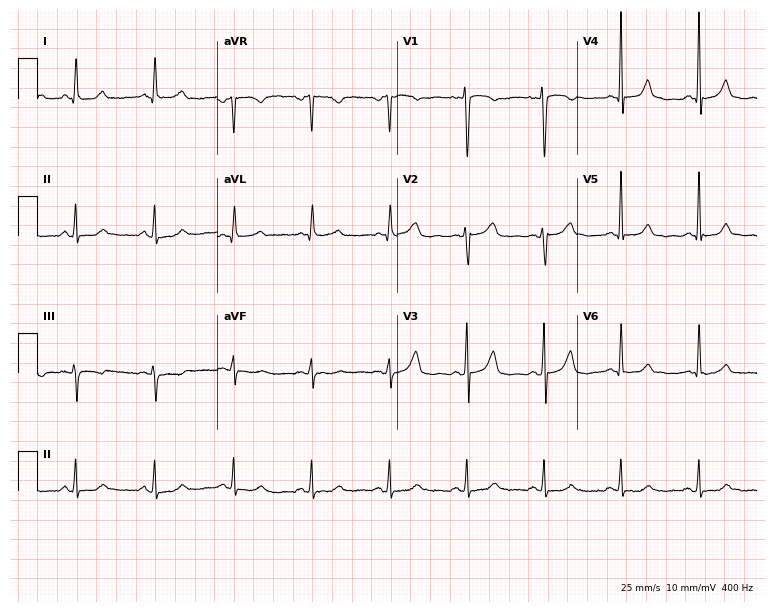
Electrocardiogram, a woman, 45 years old. Of the six screened findings (first-degree AV block, right bundle branch block, left bundle branch block, sinus bradycardia, atrial fibrillation, sinus tachycardia), none is recorded.